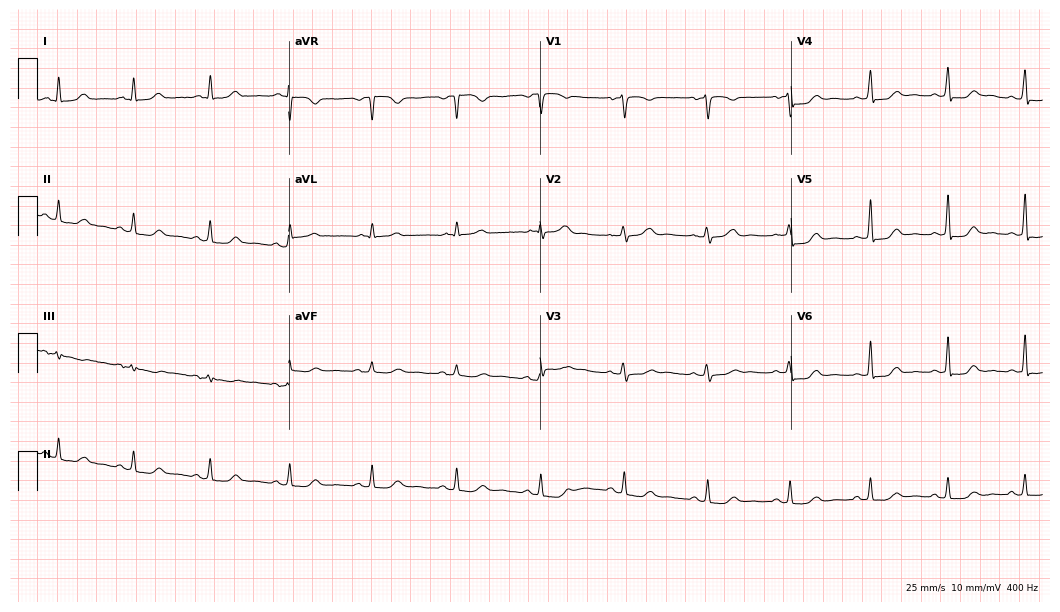
12-lead ECG from a 50-year-old female. Screened for six findings — first-degree AV block, right bundle branch block, left bundle branch block, sinus bradycardia, atrial fibrillation, sinus tachycardia — none is recorded.